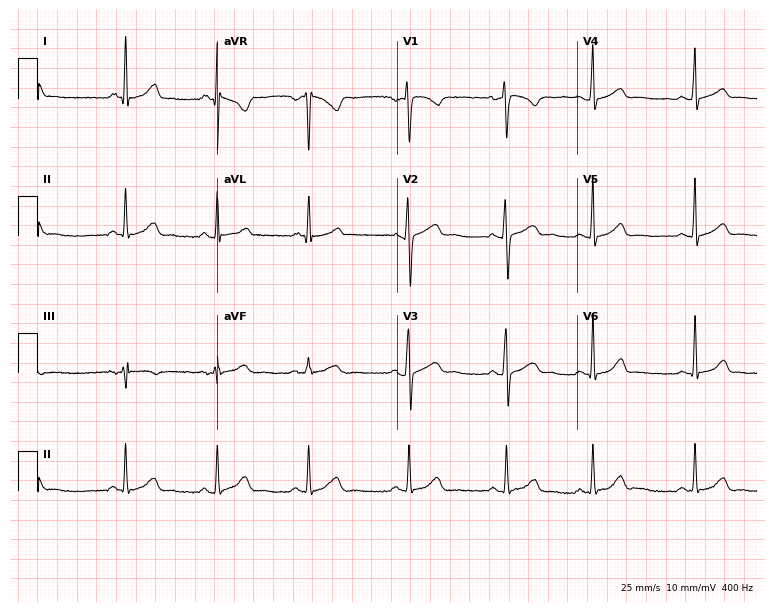
Resting 12-lead electrocardiogram. Patient: a 24-year-old female. Read as a normal ECG.